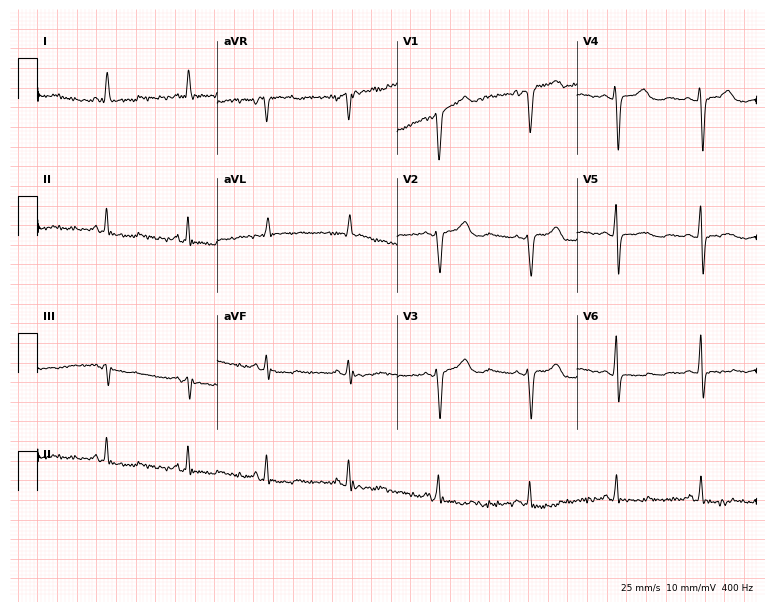
Resting 12-lead electrocardiogram (7.3-second recording at 400 Hz). Patient: a woman, 47 years old. None of these six findings is recorded: first-degree AV block, right bundle branch block, left bundle branch block, sinus bradycardia, atrial fibrillation, sinus tachycardia. Findings outside these six are not listed.